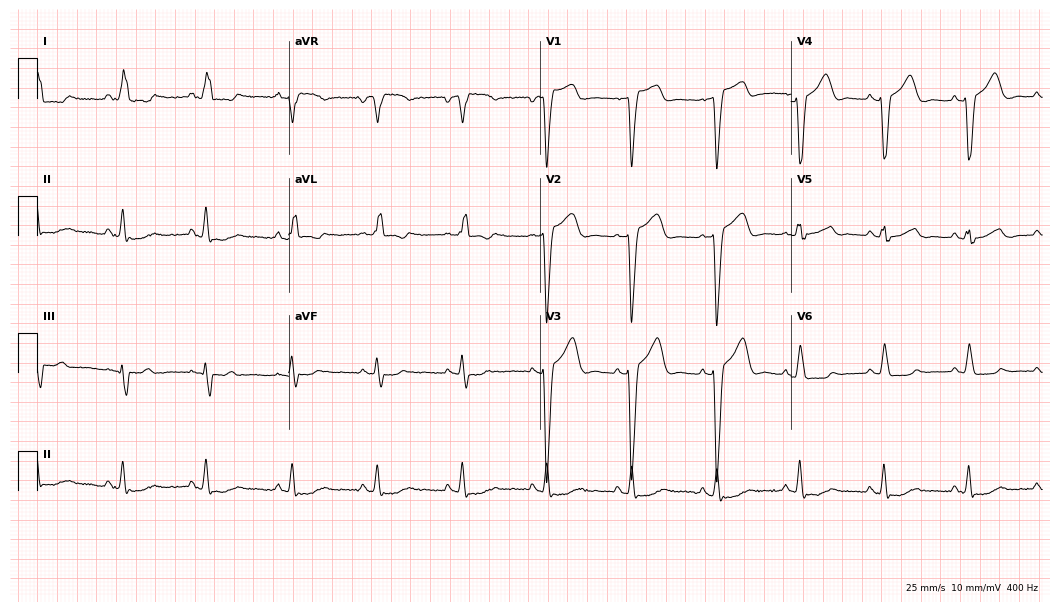
12-lead ECG from a female patient, 66 years old. No first-degree AV block, right bundle branch block, left bundle branch block, sinus bradycardia, atrial fibrillation or sinus tachycardia recorded for this tracing.